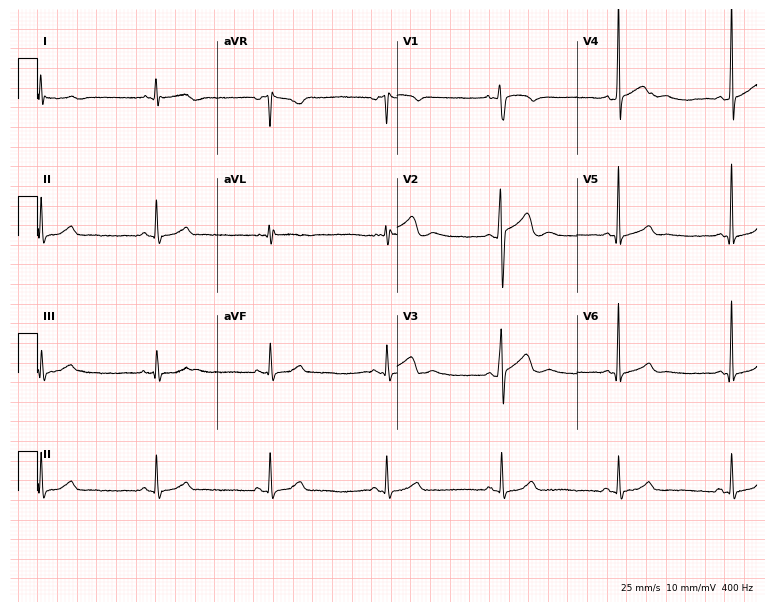
Standard 12-lead ECG recorded from a male, 23 years old (7.3-second recording at 400 Hz). Read as a normal ECG.